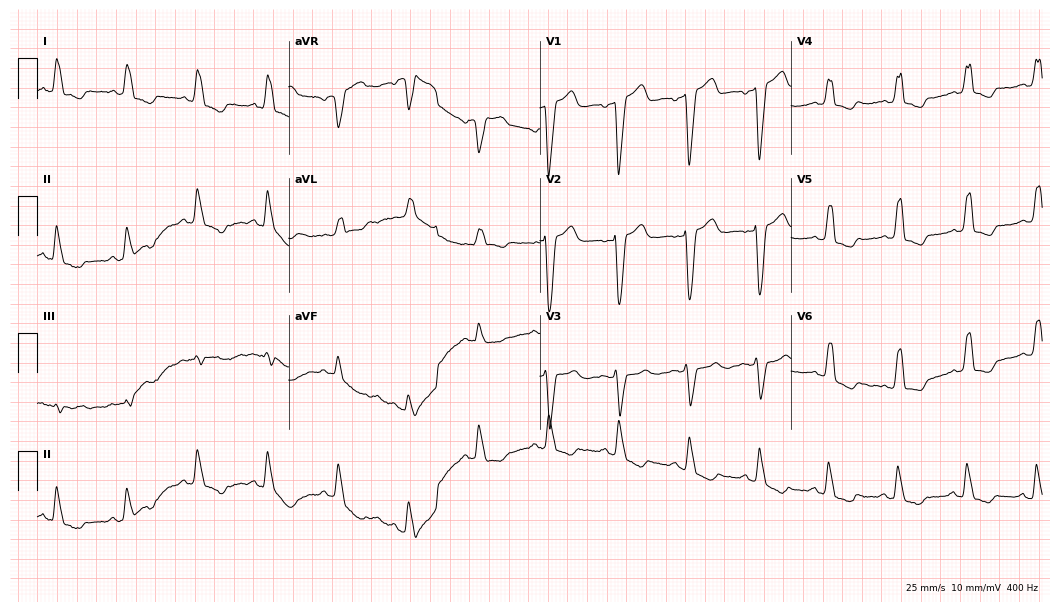
12-lead ECG from a female patient, 76 years old (10.2-second recording at 400 Hz). Shows left bundle branch block.